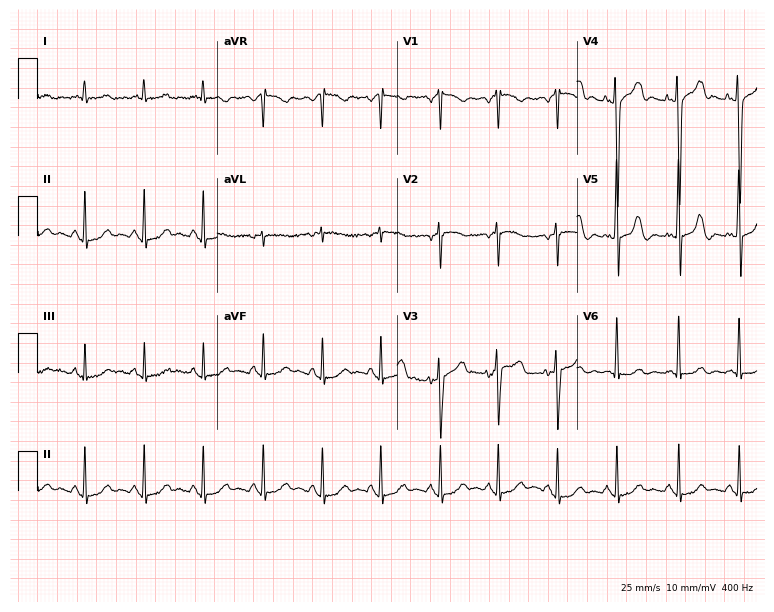
ECG (7.3-second recording at 400 Hz) — a man, 63 years old. Screened for six findings — first-degree AV block, right bundle branch block (RBBB), left bundle branch block (LBBB), sinus bradycardia, atrial fibrillation (AF), sinus tachycardia — none is recorded. Findings outside these six are not listed.